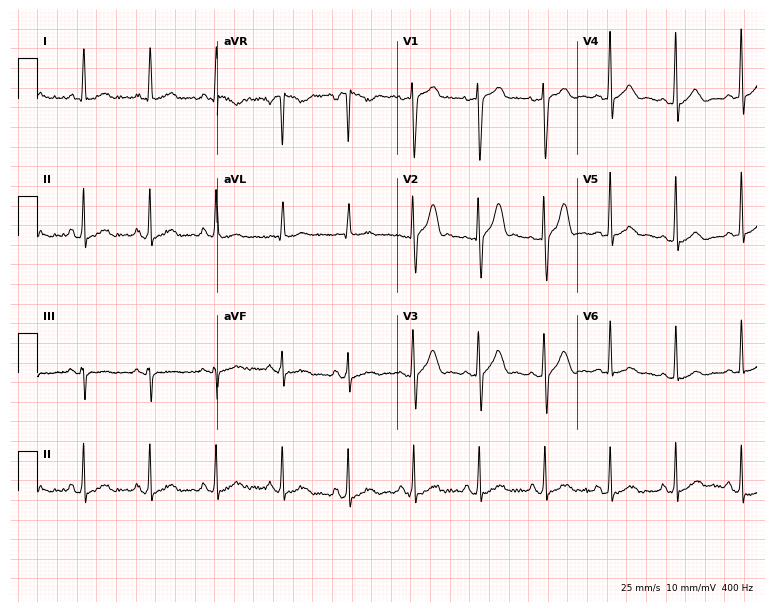
ECG — a 46-year-old male. Screened for six findings — first-degree AV block, right bundle branch block, left bundle branch block, sinus bradycardia, atrial fibrillation, sinus tachycardia — none is recorded.